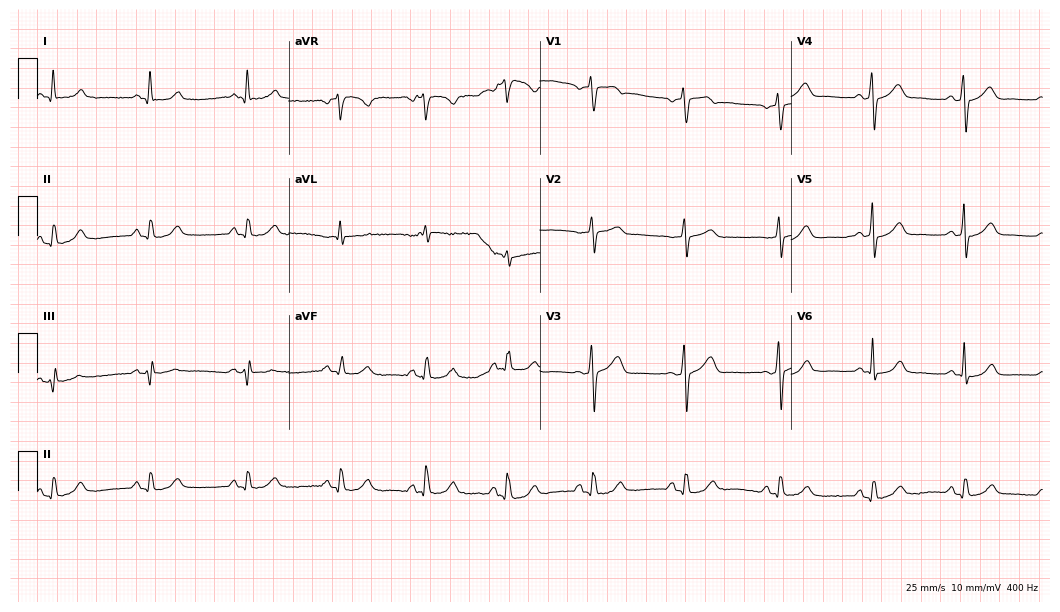
ECG (10.2-second recording at 400 Hz) — a 69-year-old male patient. Labelled as a normal ECG.